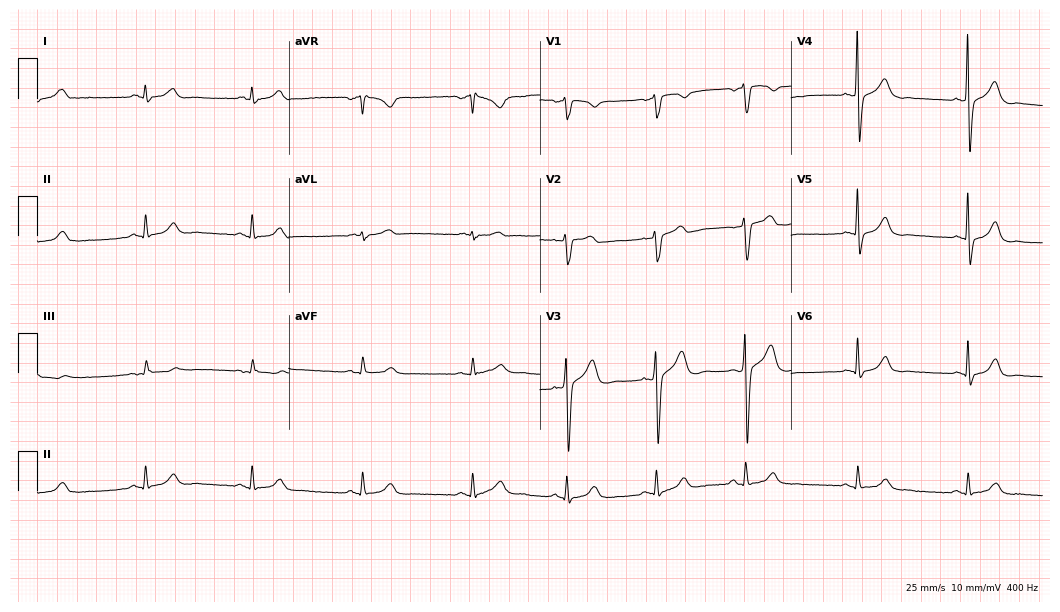
ECG (10.2-second recording at 400 Hz) — a 45-year-old male. Labelled as a normal ECG.